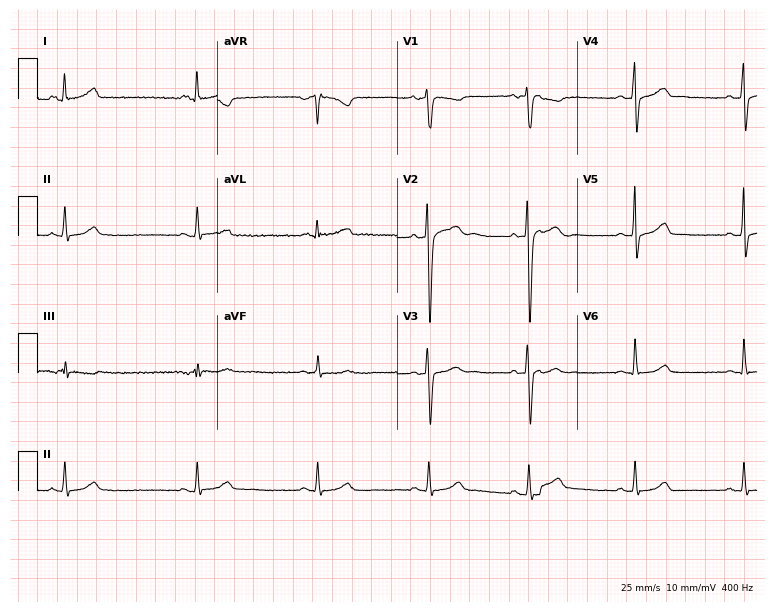
Resting 12-lead electrocardiogram. Patient: a man, 33 years old. None of these six findings is recorded: first-degree AV block, right bundle branch block (RBBB), left bundle branch block (LBBB), sinus bradycardia, atrial fibrillation (AF), sinus tachycardia. Findings outside these six are not listed.